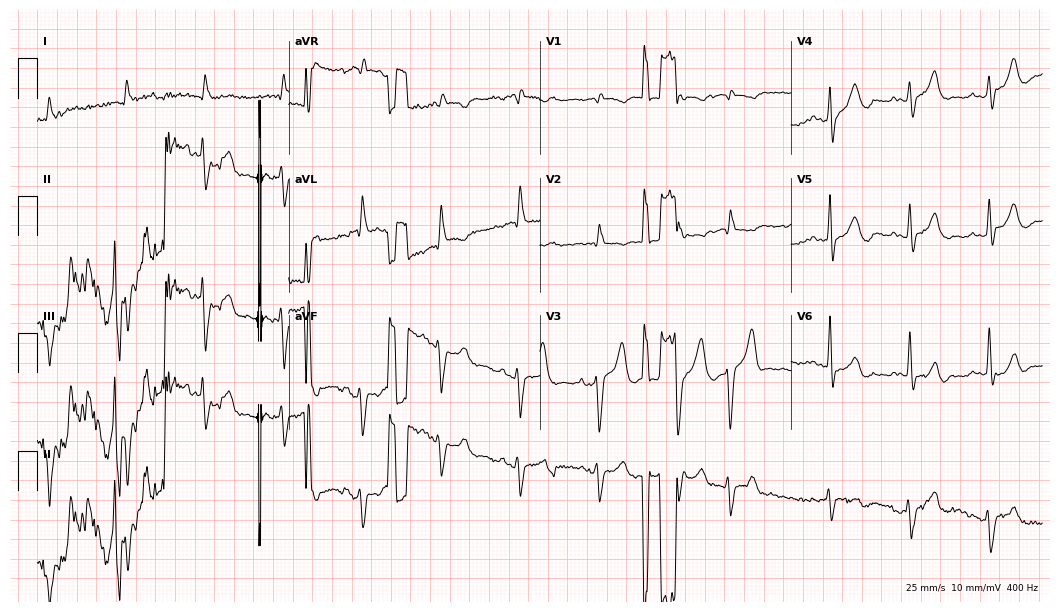
Resting 12-lead electrocardiogram. Patient: a woman, 86 years old. None of these six findings is recorded: first-degree AV block, right bundle branch block, left bundle branch block, sinus bradycardia, atrial fibrillation, sinus tachycardia. Other findings, if any, are not listed.